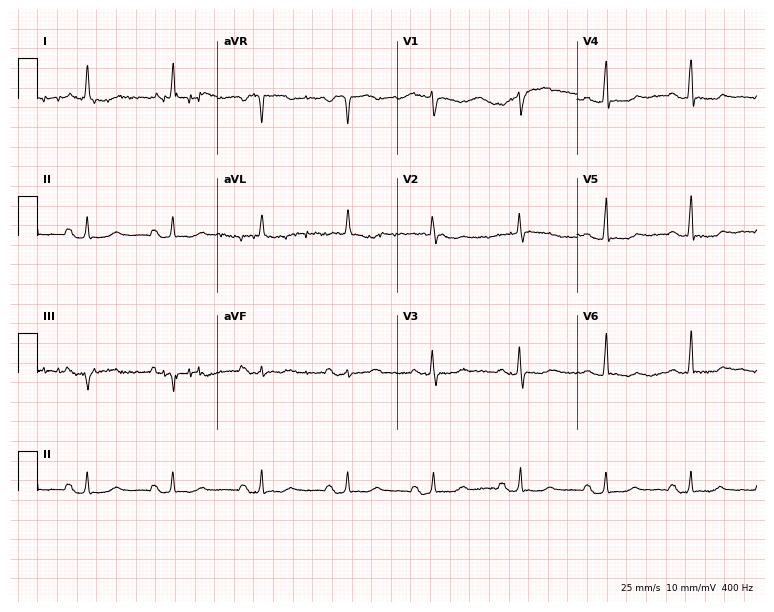
ECG — a 75-year-old female patient. Screened for six findings — first-degree AV block, right bundle branch block, left bundle branch block, sinus bradycardia, atrial fibrillation, sinus tachycardia — none is recorded.